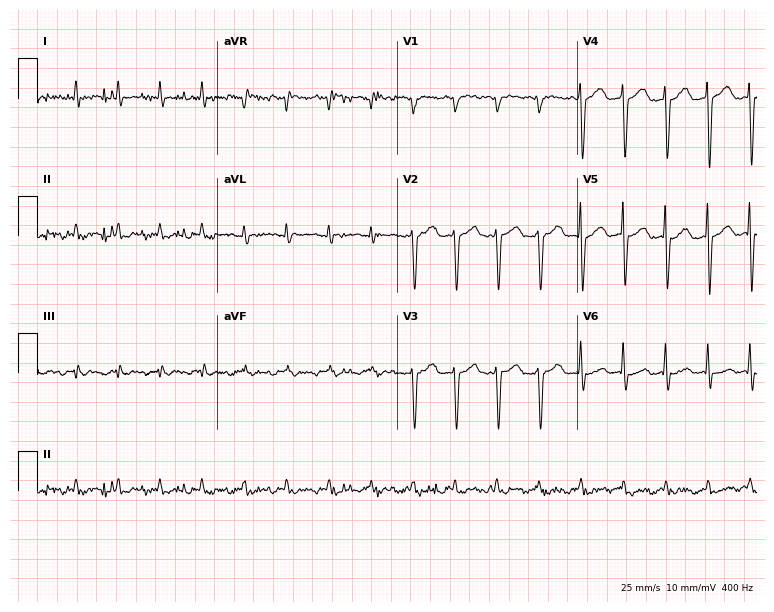
ECG — an 82-year-old male. Screened for six findings — first-degree AV block, right bundle branch block, left bundle branch block, sinus bradycardia, atrial fibrillation, sinus tachycardia — none is recorded.